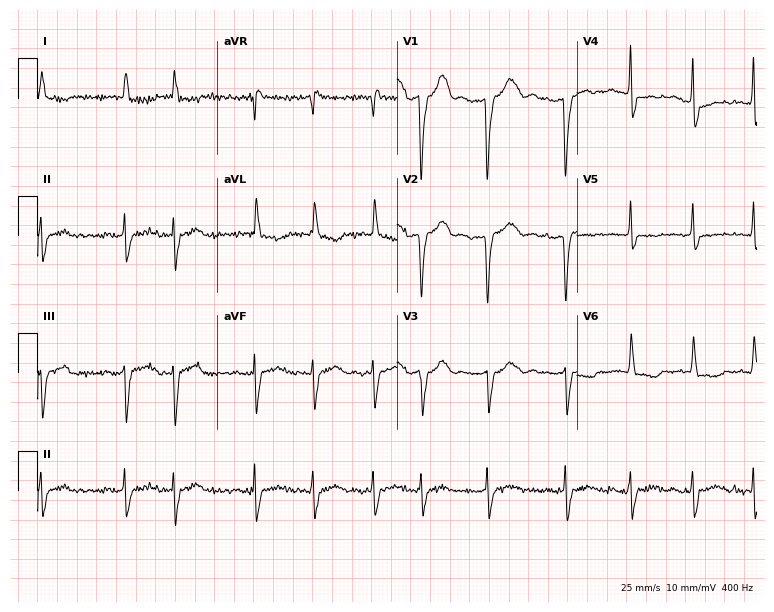
12-lead ECG from an 84-year-old female. No first-degree AV block, right bundle branch block (RBBB), left bundle branch block (LBBB), sinus bradycardia, atrial fibrillation (AF) or sinus tachycardia recorded for this tracing.